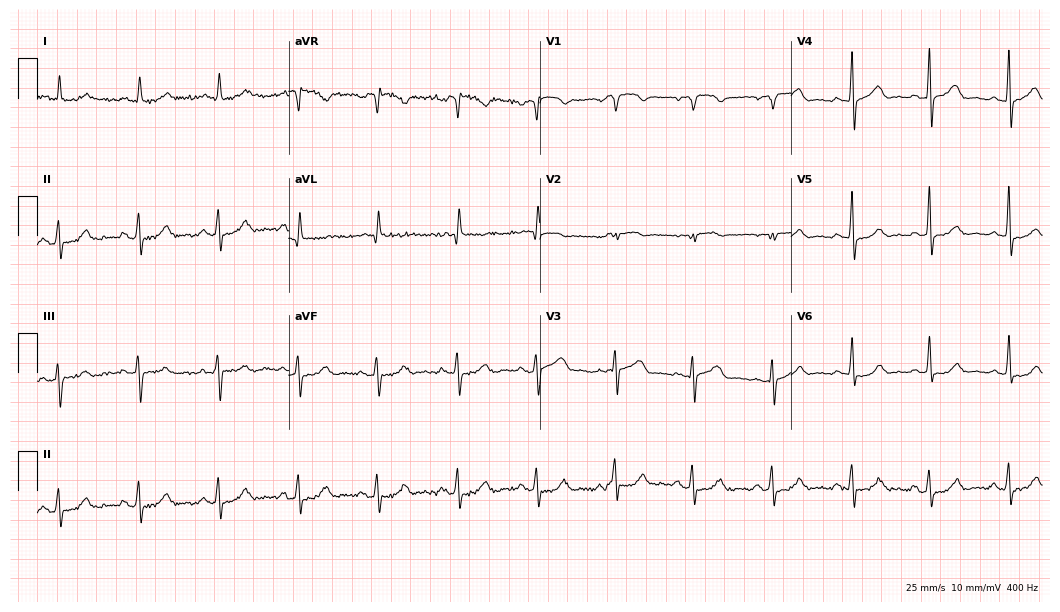
ECG (10.2-second recording at 400 Hz) — an 84-year-old male patient. Screened for six findings — first-degree AV block, right bundle branch block, left bundle branch block, sinus bradycardia, atrial fibrillation, sinus tachycardia — none is recorded.